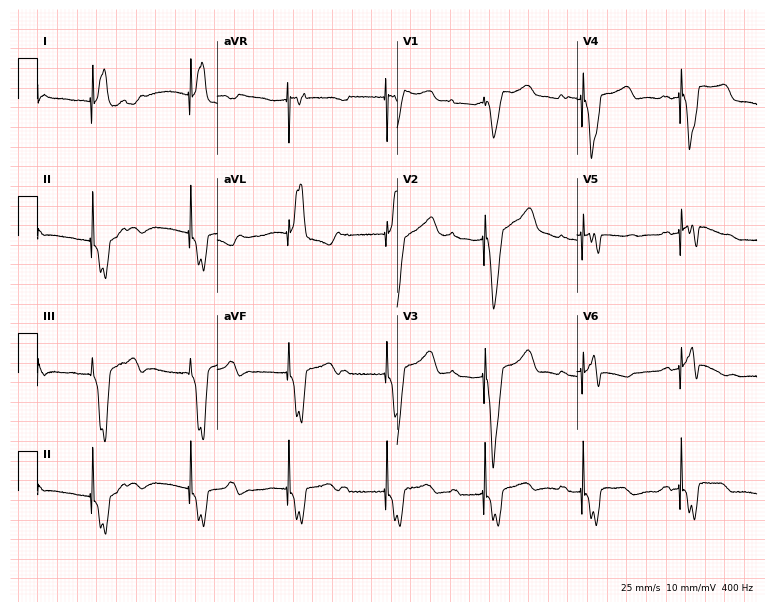
Electrocardiogram, a woman, 66 years old. Of the six screened findings (first-degree AV block, right bundle branch block, left bundle branch block, sinus bradycardia, atrial fibrillation, sinus tachycardia), none is recorded. Other findings, if any, are not listed.